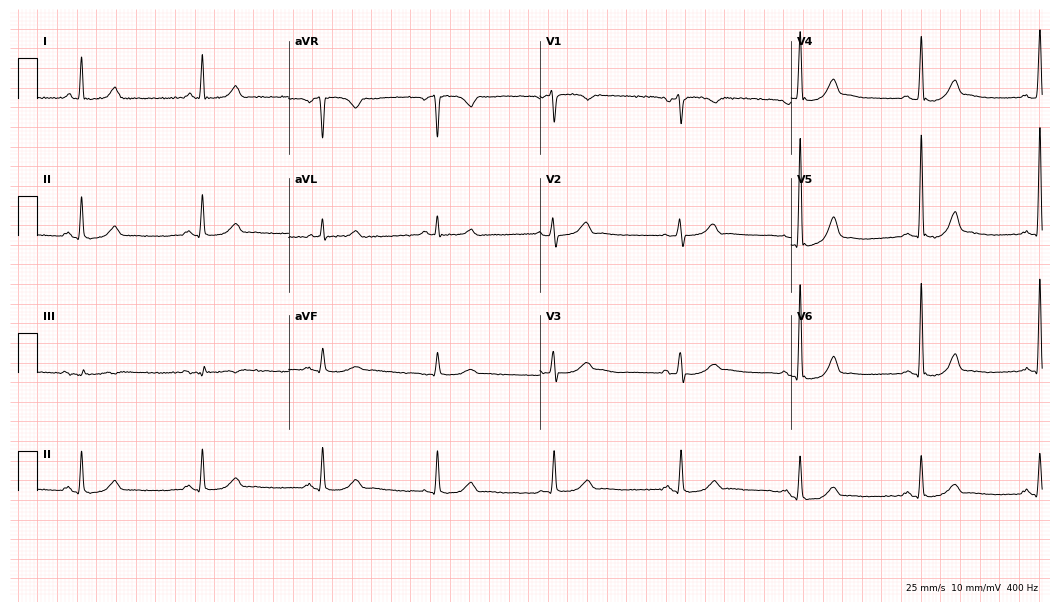
Resting 12-lead electrocardiogram. Patient: a 56-year-old man. Read as a normal ECG.